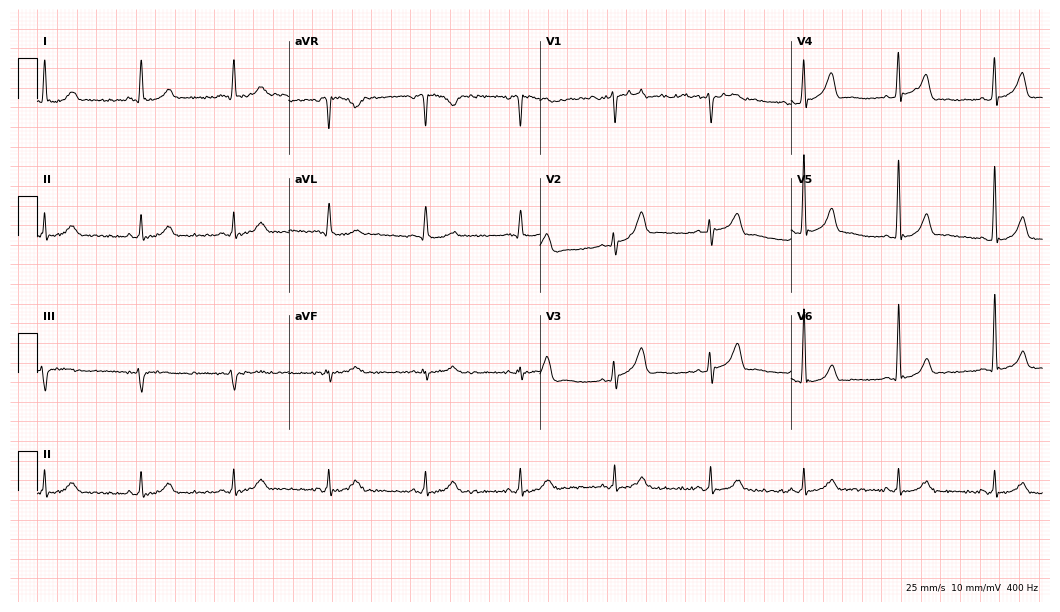
Resting 12-lead electrocardiogram (10.2-second recording at 400 Hz). Patient: a 55-year-old male. Read as a normal ECG.